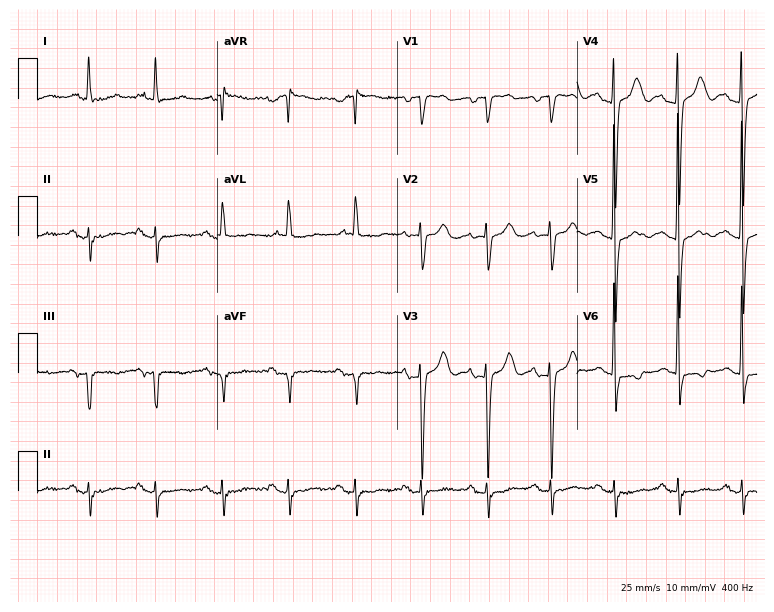
Electrocardiogram, a 73-year-old female. Of the six screened findings (first-degree AV block, right bundle branch block (RBBB), left bundle branch block (LBBB), sinus bradycardia, atrial fibrillation (AF), sinus tachycardia), none is recorded. Findings outside these six are not listed.